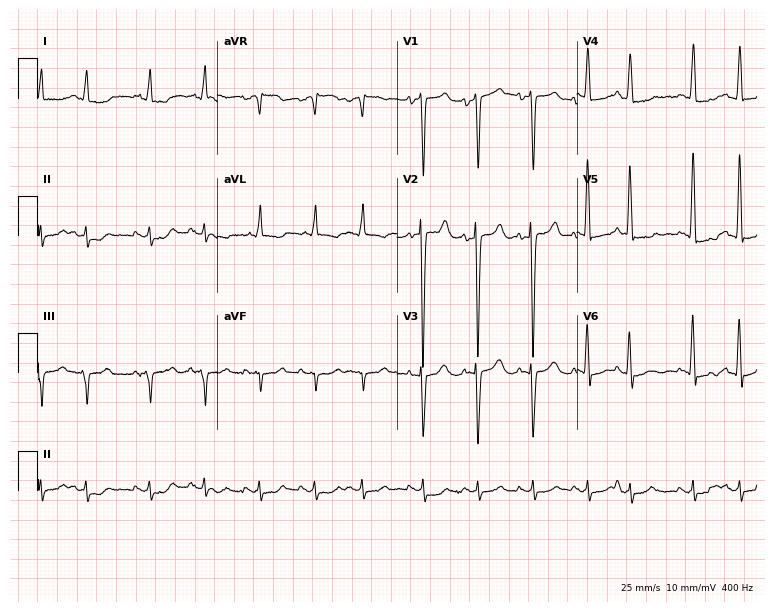
Electrocardiogram (7.3-second recording at 400 Hz), a 76-year-old male. Interpretation includes sinus tachycardia (a sinus rate of 100 beats per minute or more).